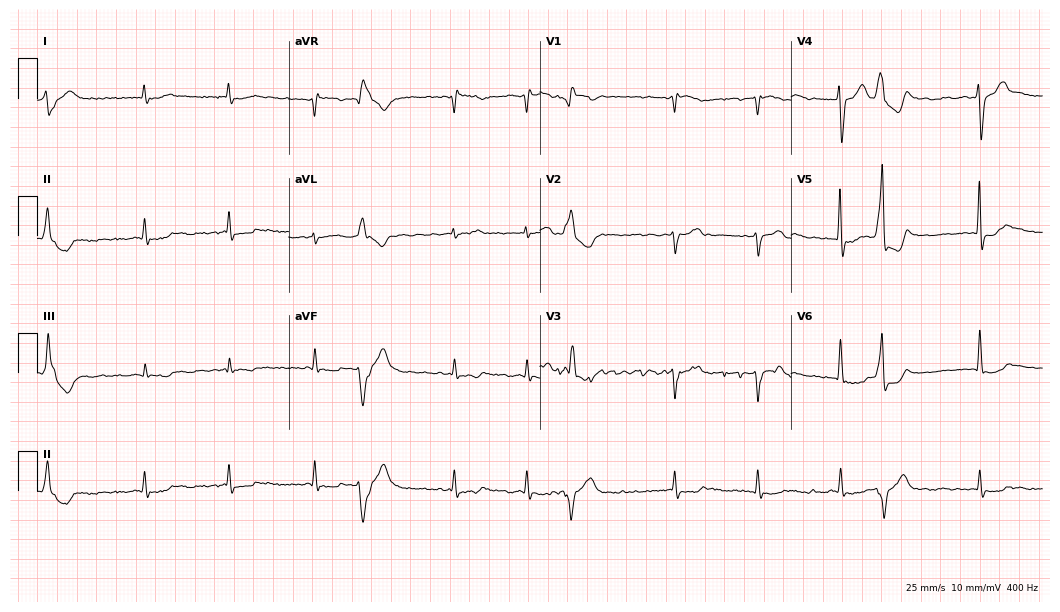
Standard 12-lead ECG recorded from an 84-year-old male. The tracing shows atrial fibrillation.